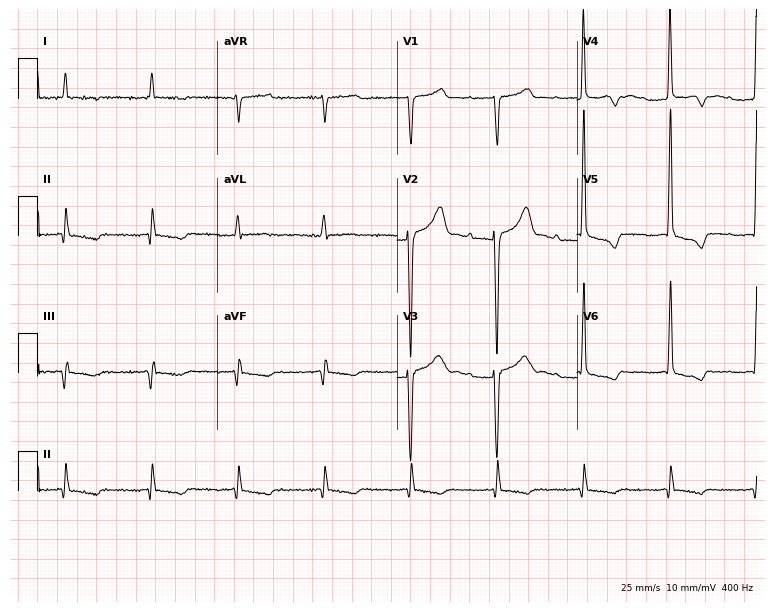
12-lead ECG (7.3-second recording at 400 Hz) from an 88-year-old male patient. Findings include first-degree AV block.